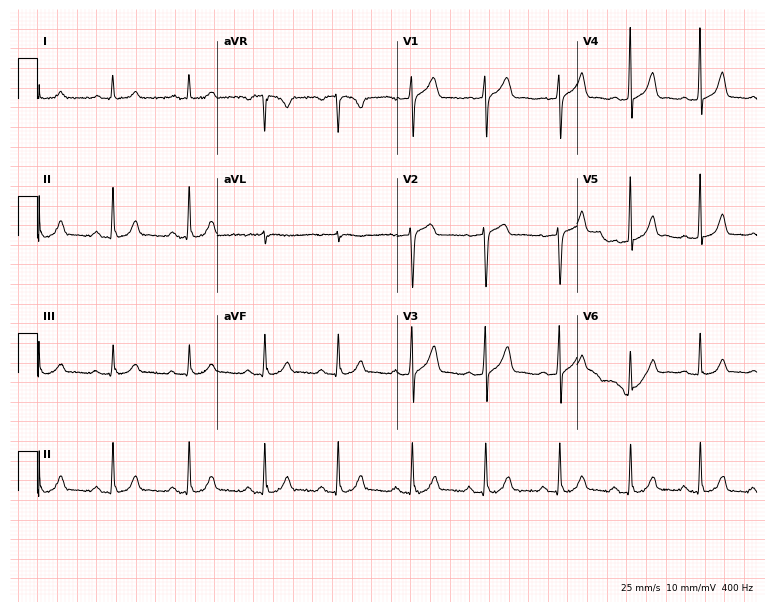
ECG (7.3-second recording at 400 Hz) — a 39-year-old female patient. Labelled as a normal ECG.